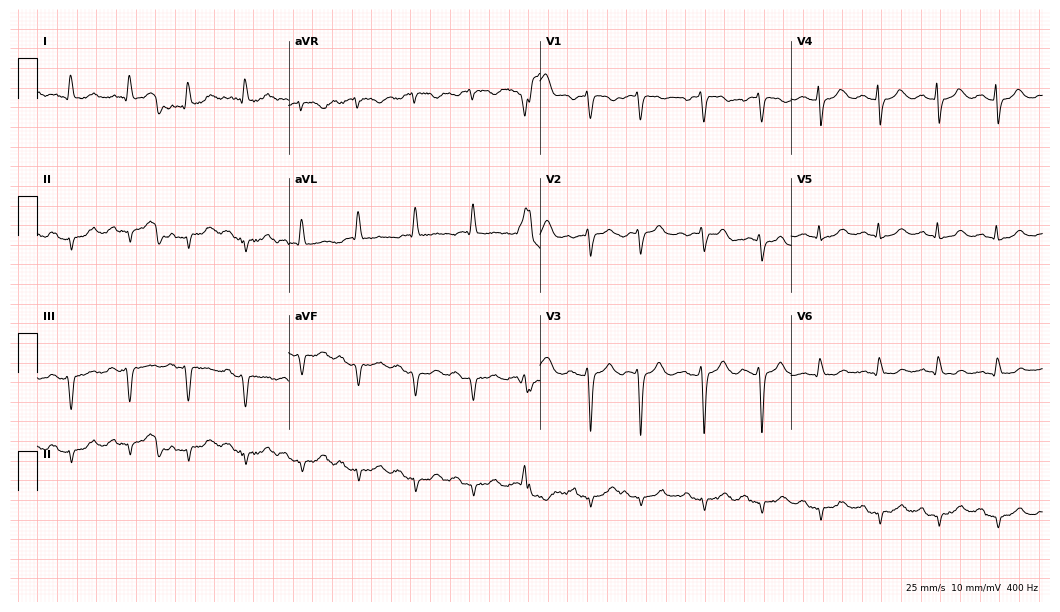
ECG — a female patient, 69 years old. Findings include sinus tachycardia (a sinus rate of 100 beats per minute or more).